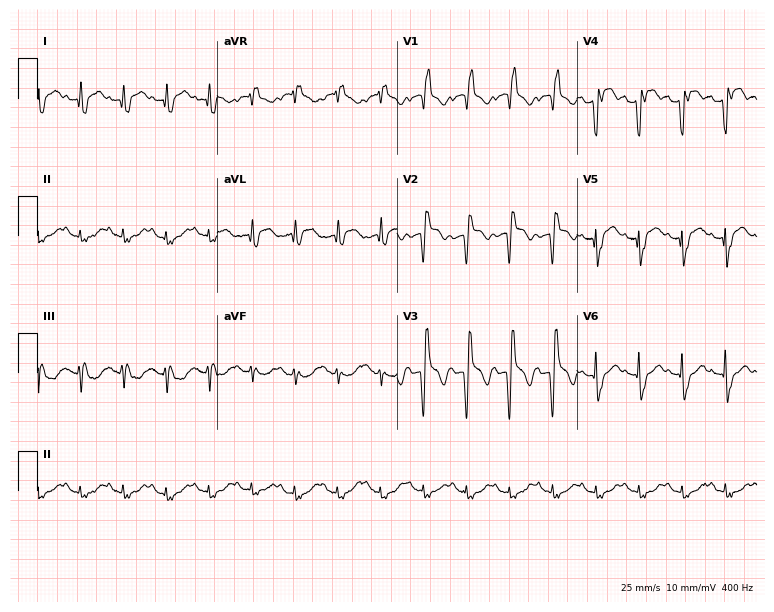
Standard 12-lead ECG recorded from an 84-year-old male patient. None of these six findings is recorded: first-degree AV block, right bundle branch block, left bundle branch block, sinus bradycardia, atrial fibrillation, sinus tachycardia. Findings outside these six are not listed.